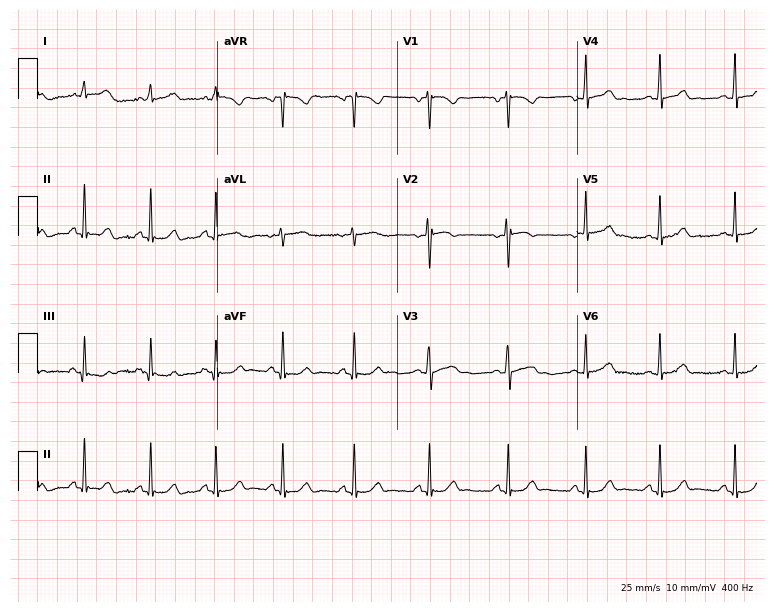
Standard 12-lead ECG recorded from a female, 18 years old (7.3-second recording at 400 Hz). Read as a normal ECG.